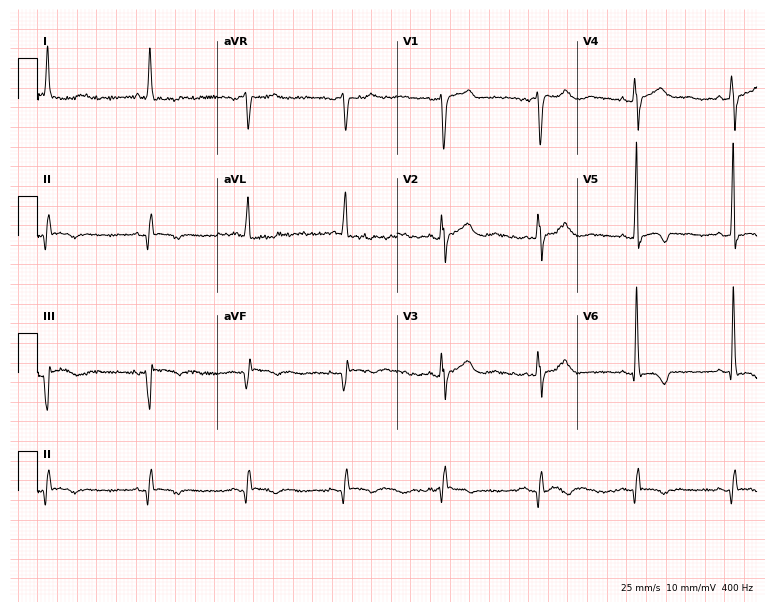
ECG (7.3-second recording at 400 Hz) — a female, 56 years old. Screened for six findings — first-degree AV block, right bundle branch block, left bundle branch block, sinus bradycardia, atrial fibrillation, sinus tachycardia — none is recorded. Findings outside these six are not listed.